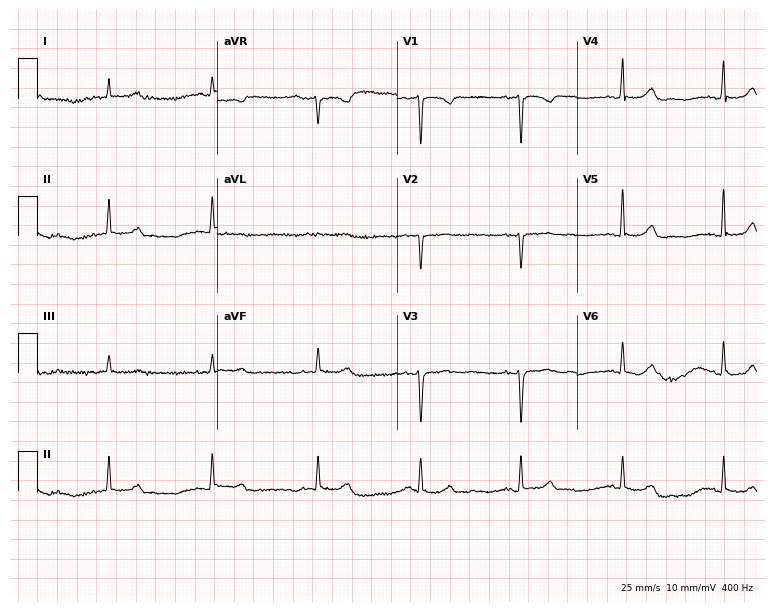
12-lead ECG (7.3-second recording at 400 Hz) from a 48-year-old female. Screened for six findings — first-degree AV block, right bundle branch block, left bundle branch block, sinus bradycardia, atrial fibrillation, sinus tachycardia — none is recorded.